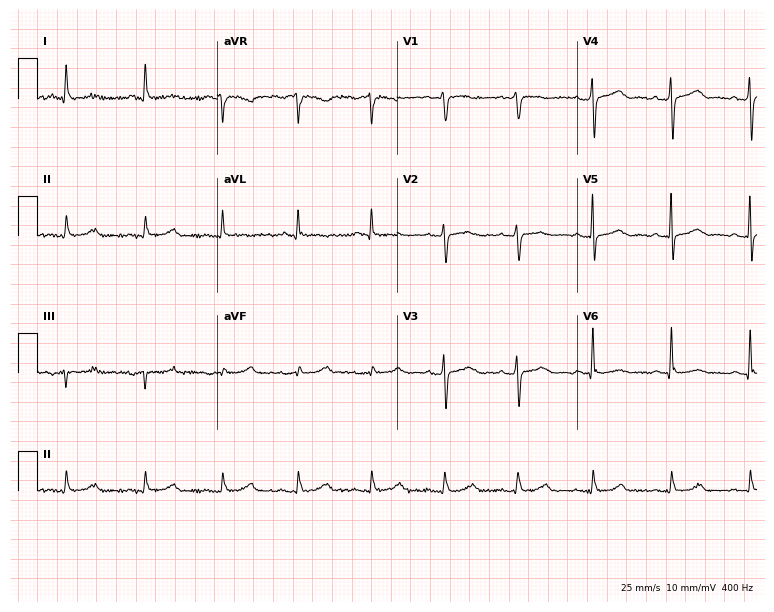
Standard 12-lead ECG recorded from a female patient, 64 years old. Read as a normal ECG.